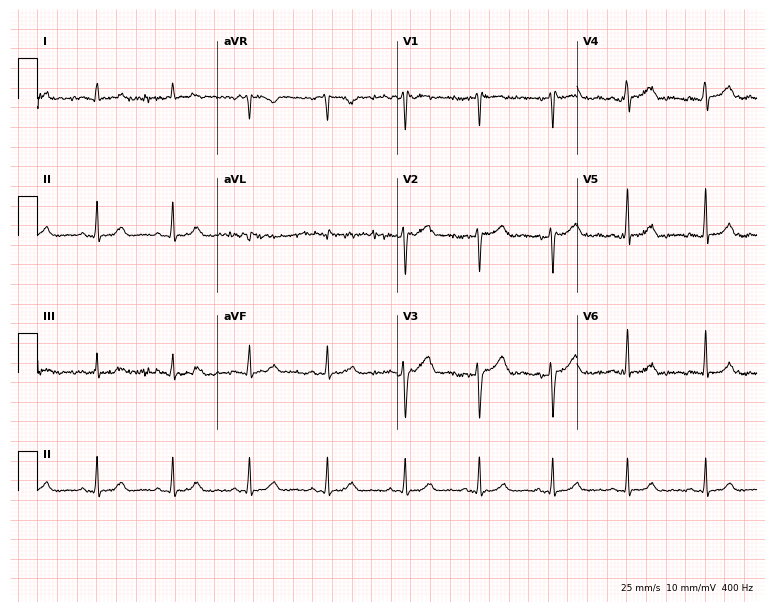
Electrocardiogram, a female, 38 years old. Of the six screened findings (first-degree AV block, right bundle branch block, left bundle branch block, sinus bradycardia, atrial fibrillation, sinus tachycardia), none is recorded.